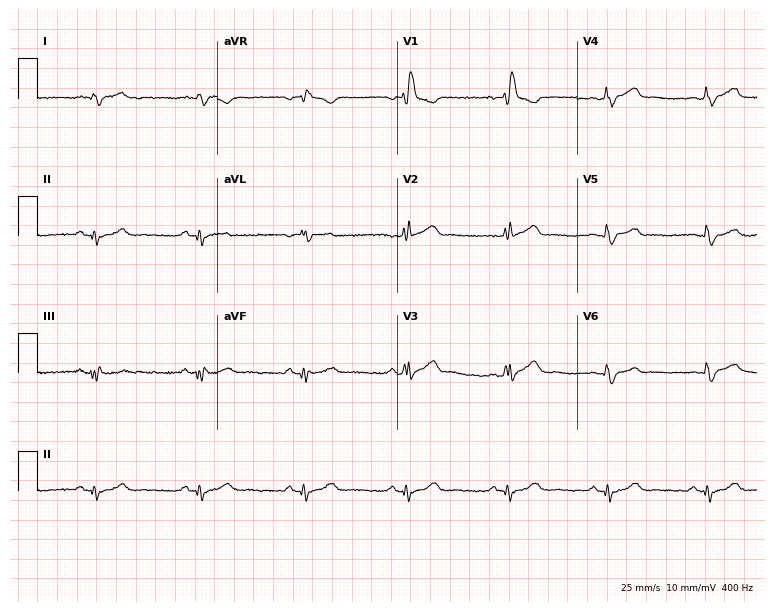
ECG — a male patient, 58 years old. Findings include right bundle branch block.